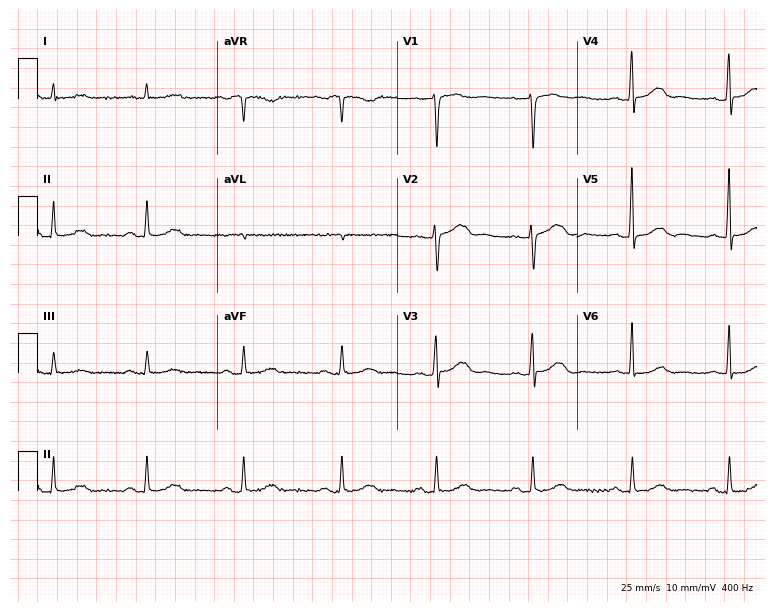
12-lead ECG from a 53-year-old male. Screened for six findings — first-degree AV block, right bundle branch block, left bundle branch block, sinus bradycardia, atrial fibrillation, sinus tachycardia — none is recorded. Other findings, if any, are not listed.